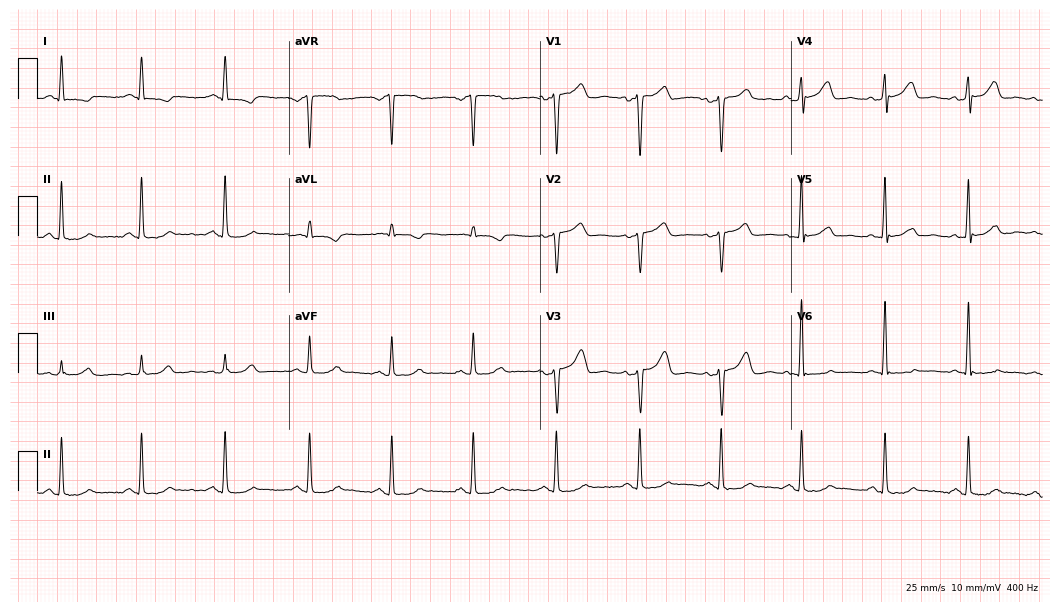
Standard 12-lead ECG recorded from a 50-year-old woman (10.2-second recording at 400 Hz). Read as a normal ECG.